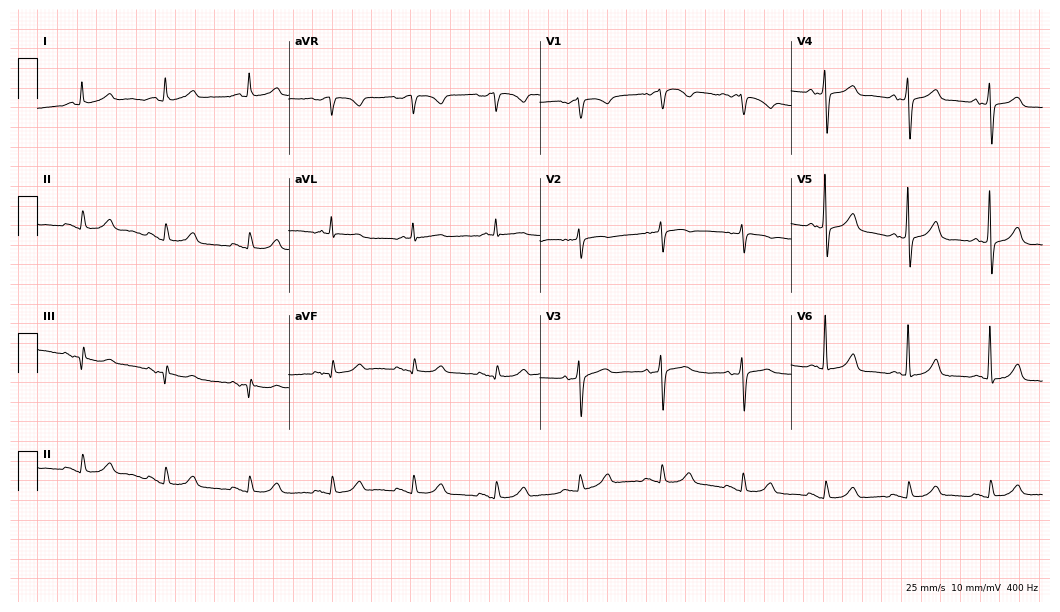
12-lead ECG from a 76-year-old man. Labelled as a normal ECG.